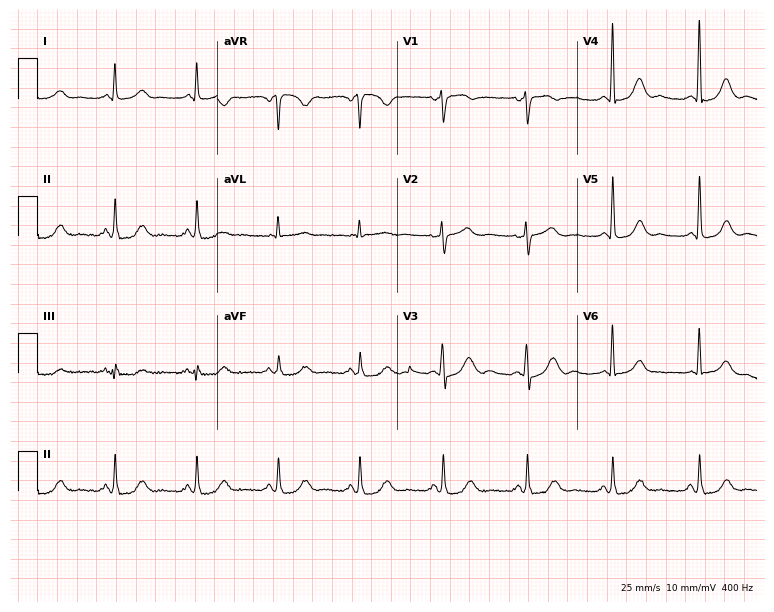
ECG — a woman, 62 years old. Labelled as a normal ECG.